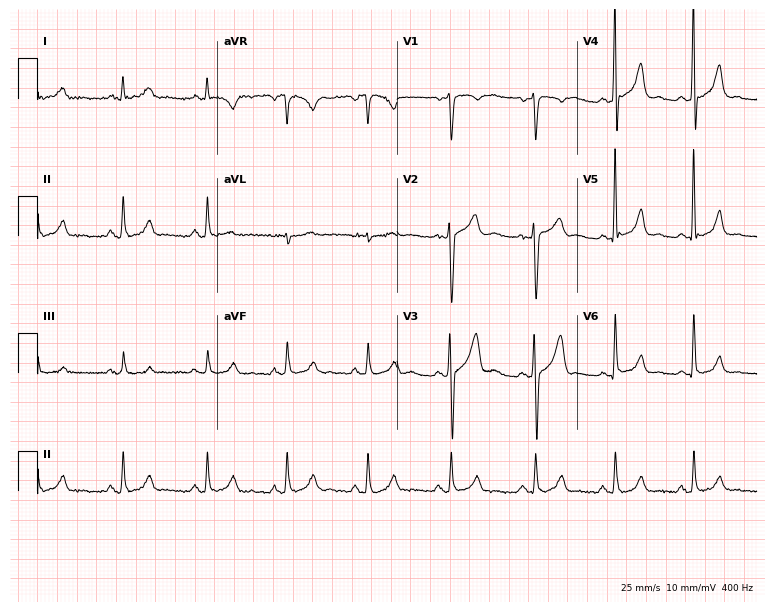
Standard 12-lead ECG recorded from a 53-year-old male patient. None of these six findings is recorded: first-degree AV block, right bundle branch block (RBBB), left bundle branch block (LBBB), sinus bradycardia, atrial fibrillation (AF), sinus tachycardia. Only these six findings were labelled.